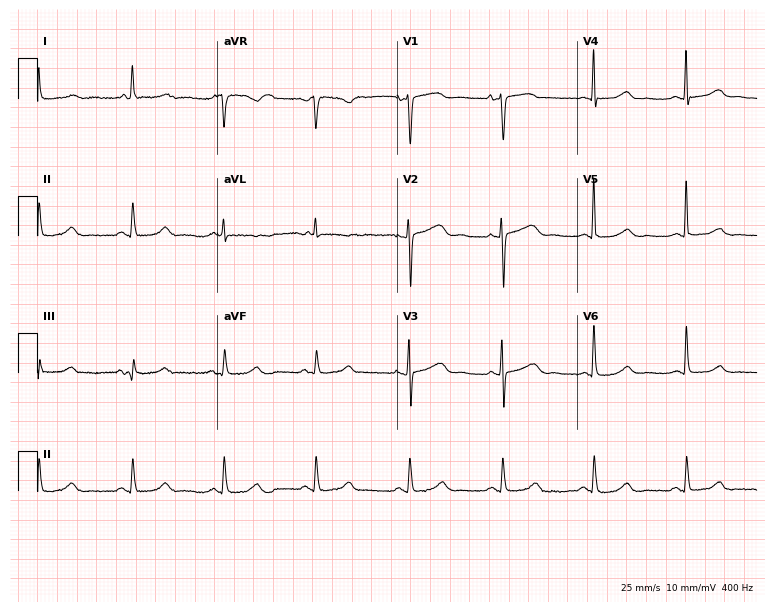
12-lead ECG from an 80-year-old female patient (7.3-second recording at 400 Hz). Recorded interpretation: within normal limits.